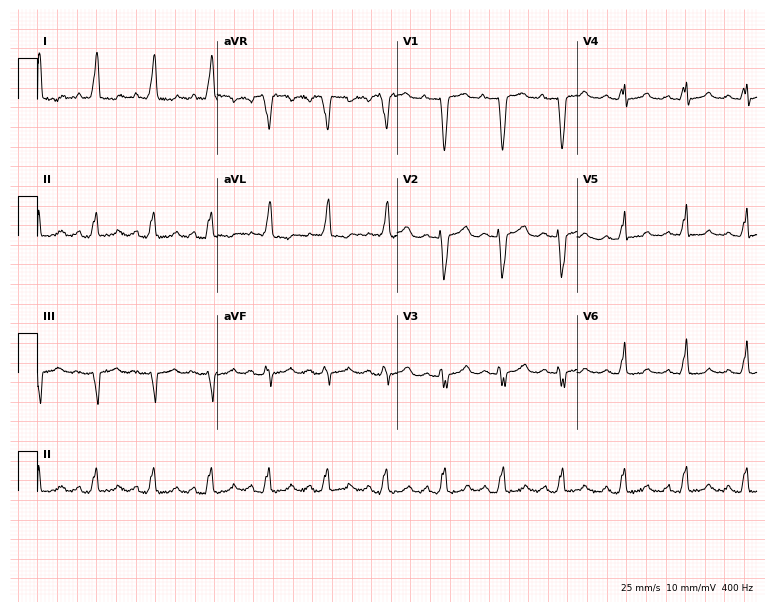
Electrocardiogram (7.3-second recording at 400 Hz), a female, 72 years old. Of the six screened findings (first-degree AV block, right bundle branch block, left bundle branch block, sinus bradycardia, atrial fibrillation, sinus tachycardia), none is recorded. Only these six findings were labelled.